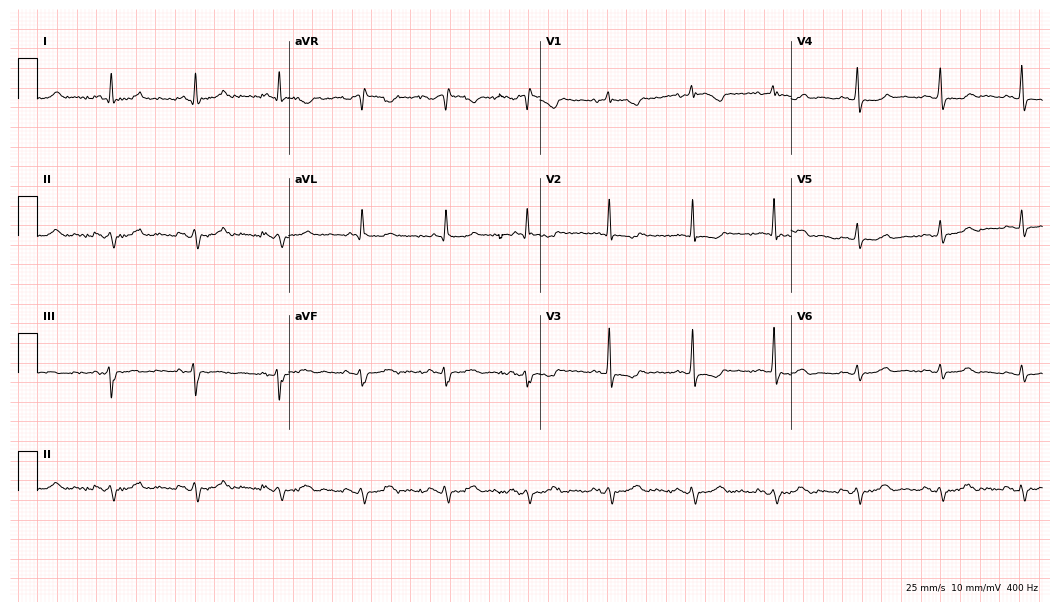
12-lead ECG from a male, 44 years old. Labelled as a normal ECG.